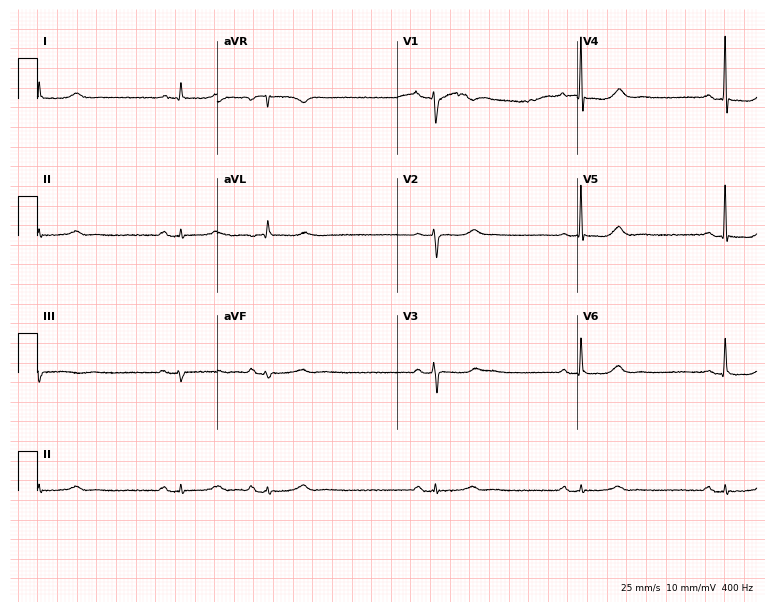
Electrocardiogram (7.3-second recording at 400 Hz), a woman, 54 years old. Interpretation includes sinus bradycardia (a sinus rate of 50 beats per minute or less).